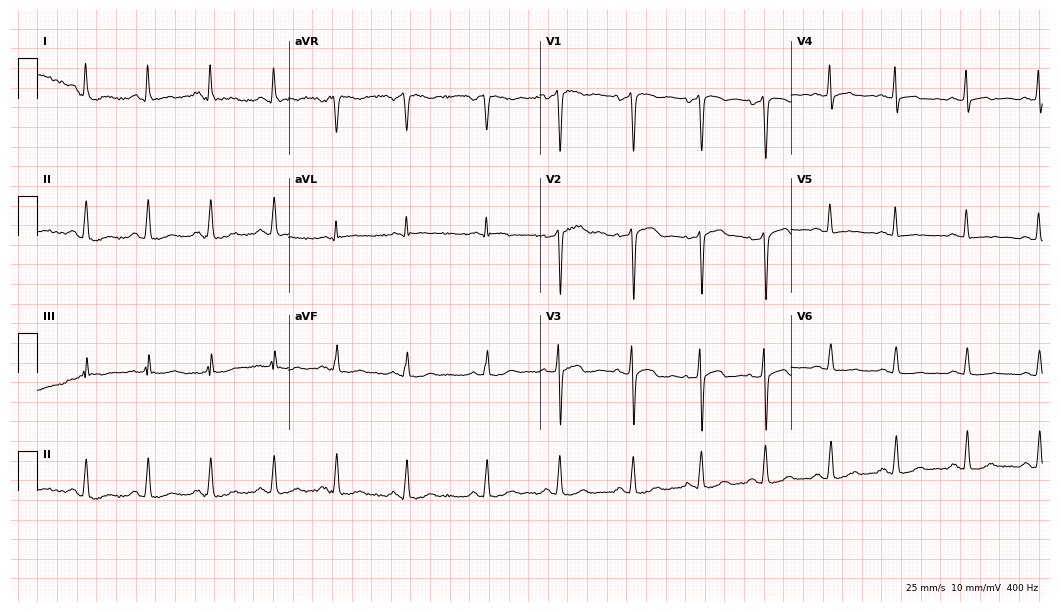
12-lead ECG from a male patient, 31 years old (10.2-second recording at 400 Hz). No first-degree AV block, right bundle branch block (RBBB), left bundle branch block (LBBB), sinus bradycardia, atrial fibrillation (AF) or sinus tachycardia recorded for this tracing. Only these six findings were labelled.